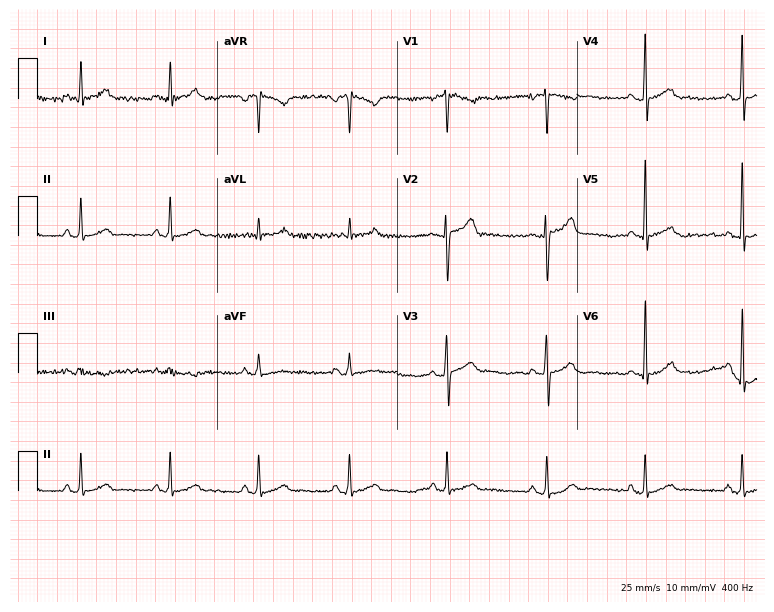
12-lead ECG from a 41-year-old man. Labelled as a normal ECG.